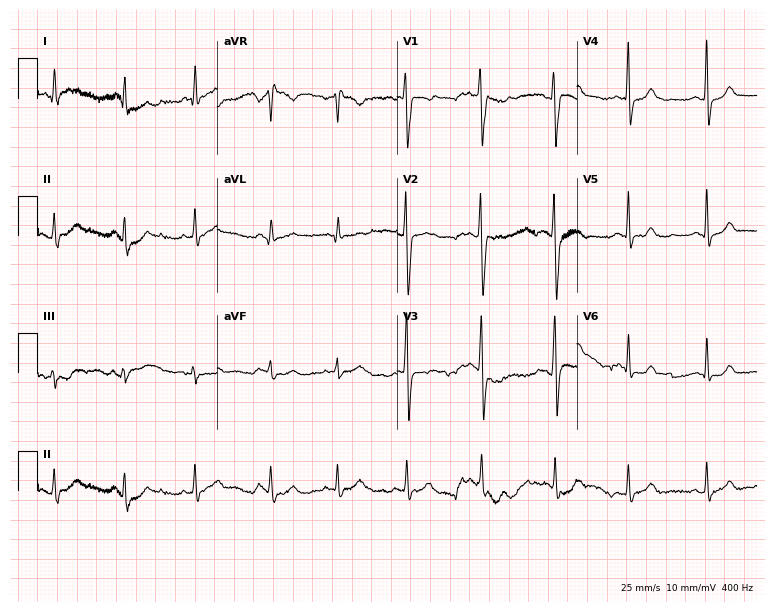
Standard 12-lead ECG recorded from a female, 22 years old (7.3-second recording at 400 Hz). None of these six findings is recorded: first-degree AV block, right bundle branch block (RBBB), left bundle branch block (LBBB), sinus bradycardia, atrial fibrillation (AF), sinus tachycardia.